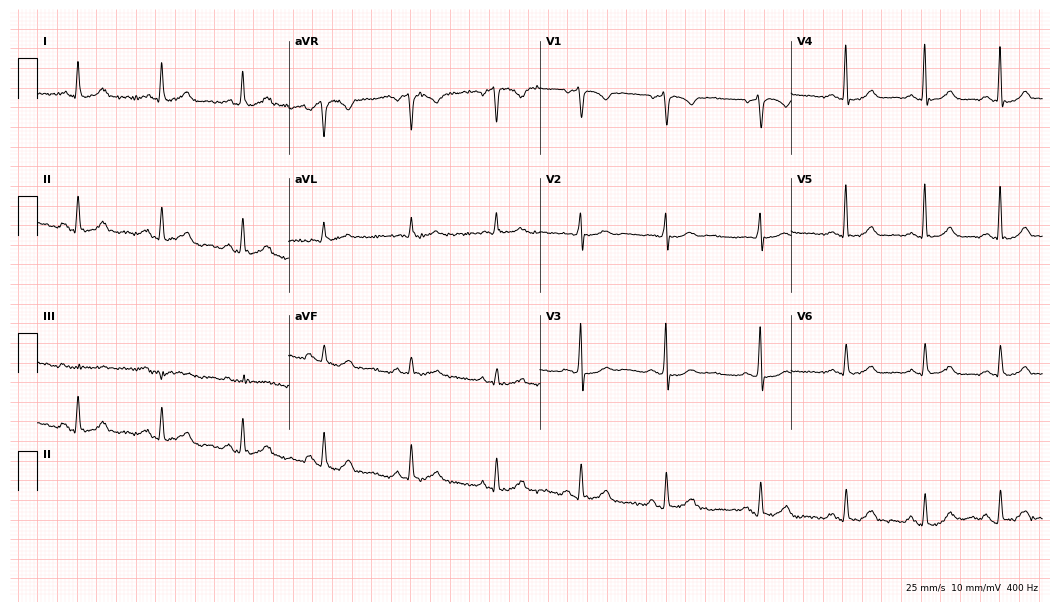
12-lead ECG (10.2-second recording at 400 Hz) from a woman, 58 years old. Labelled as a normal ECG.